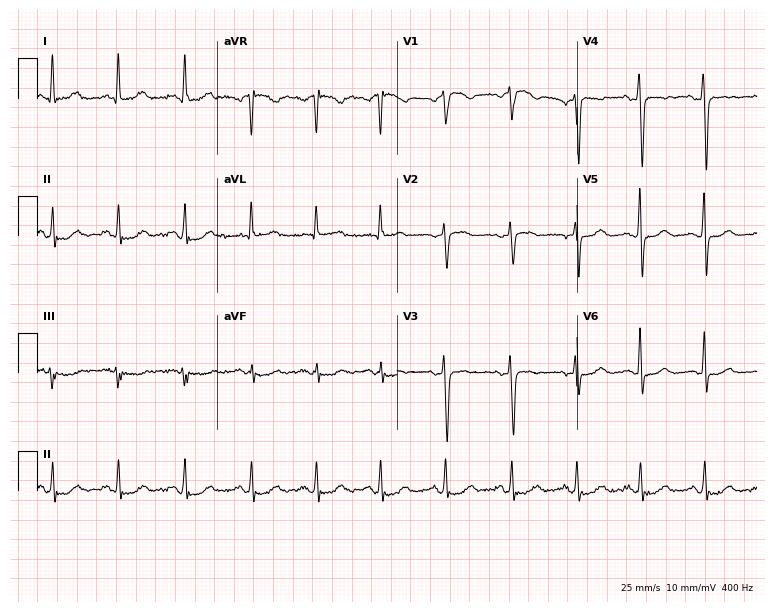
Electrocardiogram, a 61-year-old woman. Of the six screened findings (first-degree AV block, right bundle branch block (RBBB), left bundle branch block (LBBB), sinus bradycardia, atrial fibrillation (AF), sinus tachycardia), none is recorded. Findings outside these six are not listed.